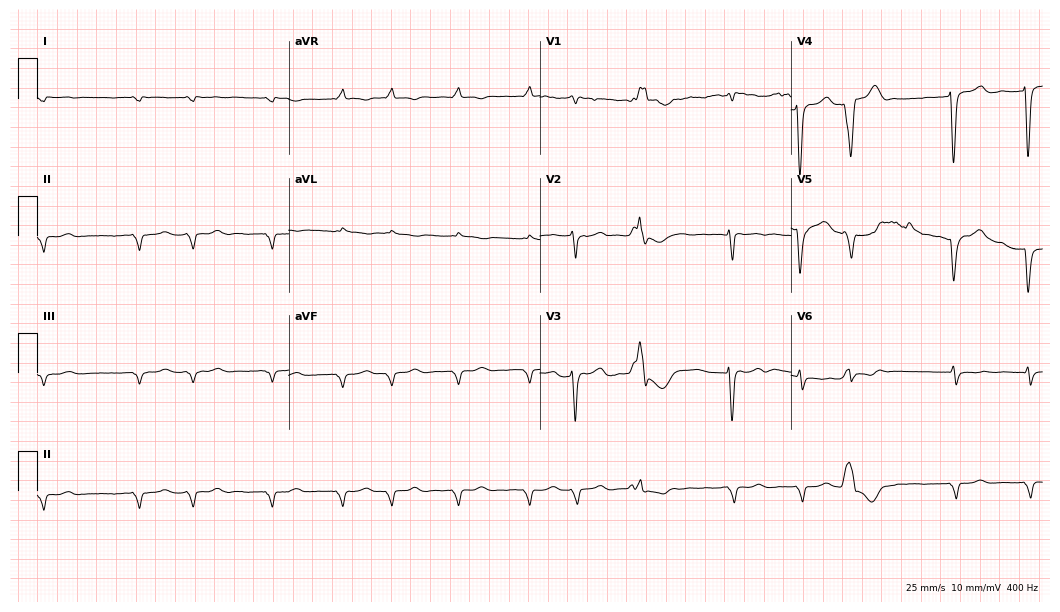
Resting 12-lead electrocardiogram. Patient: a 72-year-old man. None of these six findings is recorded: first-degree AV block, right bundle branch block, left bundle branch block, sinus bradycardia, atrial fibrillation, sinus tachycardia.